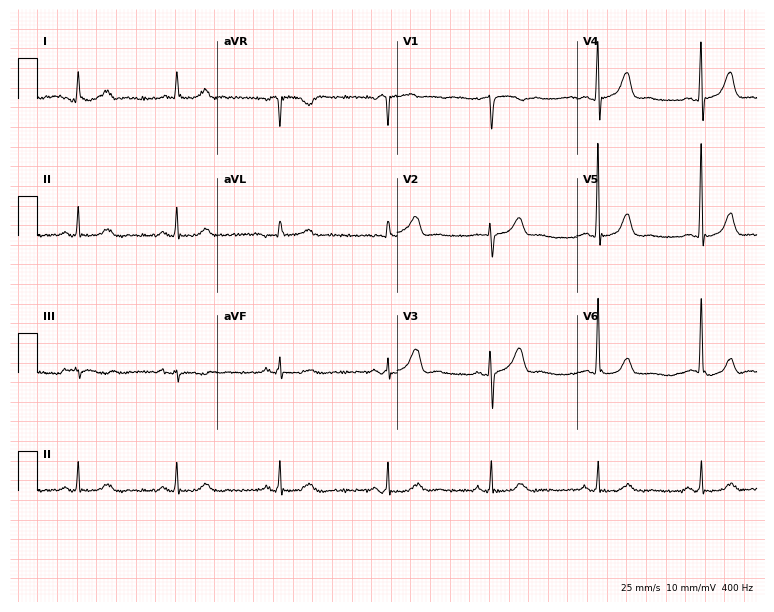
ECG — a man, 74 years old. Labelled as a normal ECG.